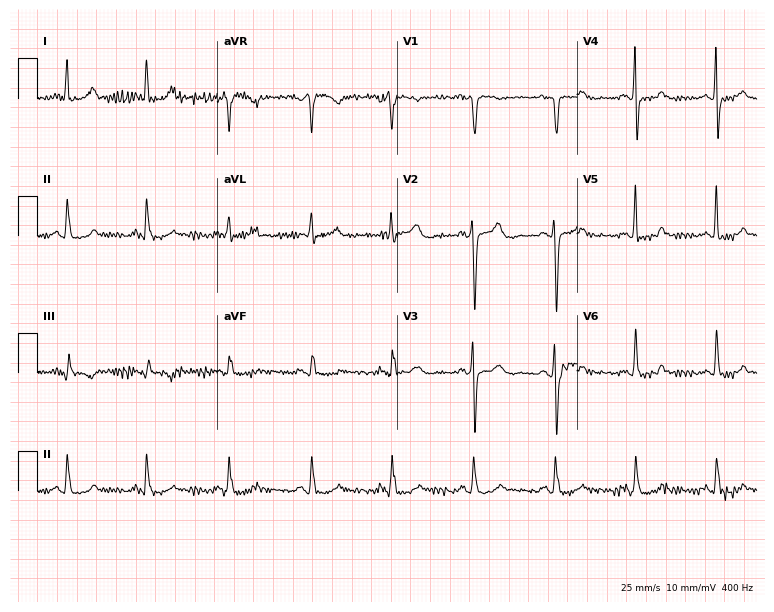
Resting 12-lead electrocardiogram (7.3-second recording at 400 Hz). Patient: a 47-year-old male. Read as a normal ECG.